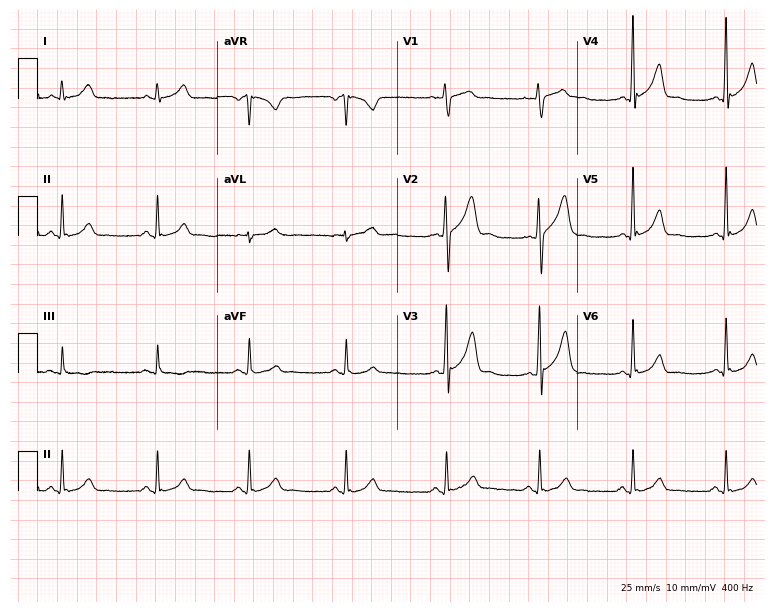
12-lead ECG from a 39-year-old male patient. Labelled as a normal ECG.